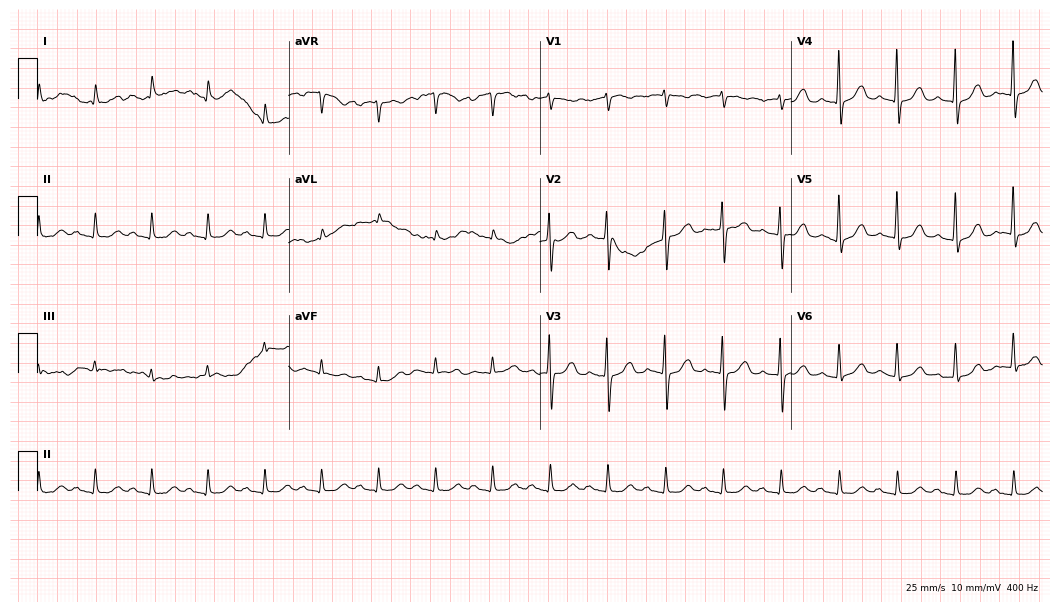
Standard 12-lead ECG recorded from a female, 80 years old (10.2-second recording at 400 Hz). The tracing shows first-degree AV block, sinus tachycardia (a sinus rate of 100 beats per minute or more).